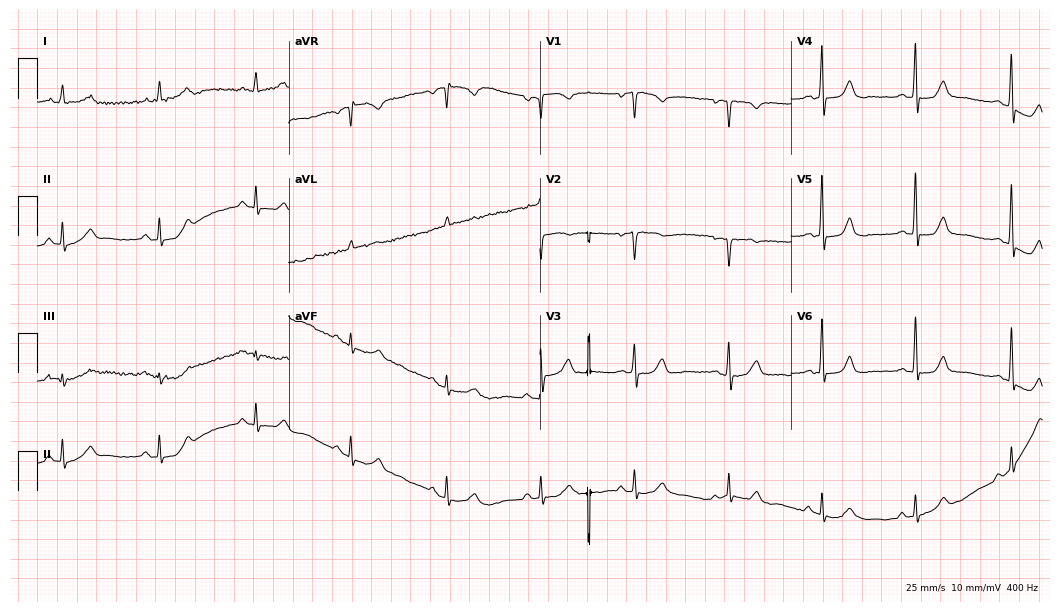
12-lead ECG from a female, 55 years old (10.2-second recording at 400 Hz). Recorded interpretation: within normal limits.